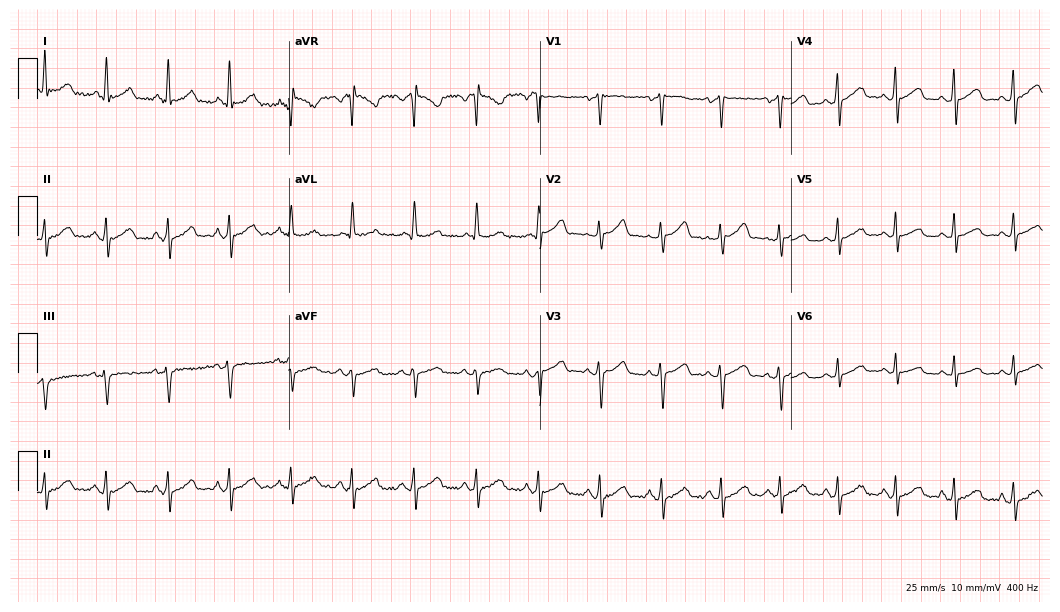
Standard 12-lead ECG recorded from a 49-year-old female patient. Read as a normal ECG.